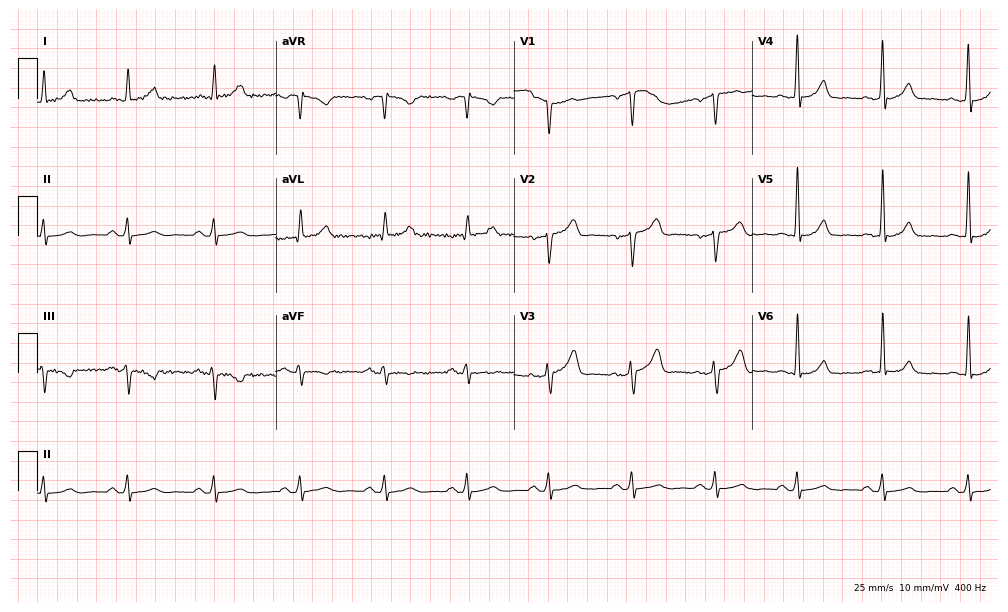
12-lead ECG from a 42-year-old man. No first-degree AV block, right bundle branch block (RBBB), left bundle branch block (LBBB), sinus bradycardia, atrial fibrillation (AF) or sinus tachycardia recorded for this tracing. Findings outside these six are not listed.